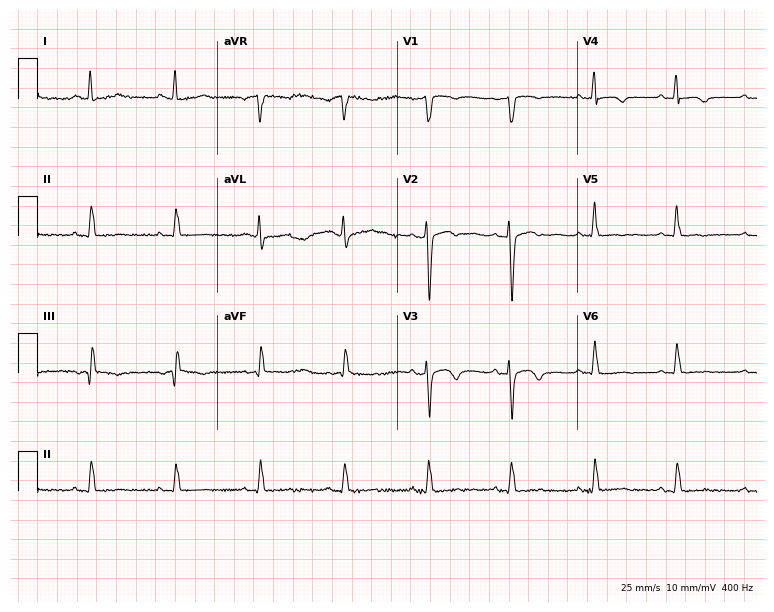
Resting 12-lead electrocardiogram (7.3-second recording at 400 Hz). Patient: an 81-year-old female. None of these six findings is recorded: first-degree AV block, right bundle branch block, left bundle branch block, sinus bradycardia, atrial fibrillation, sinus tachycardia.